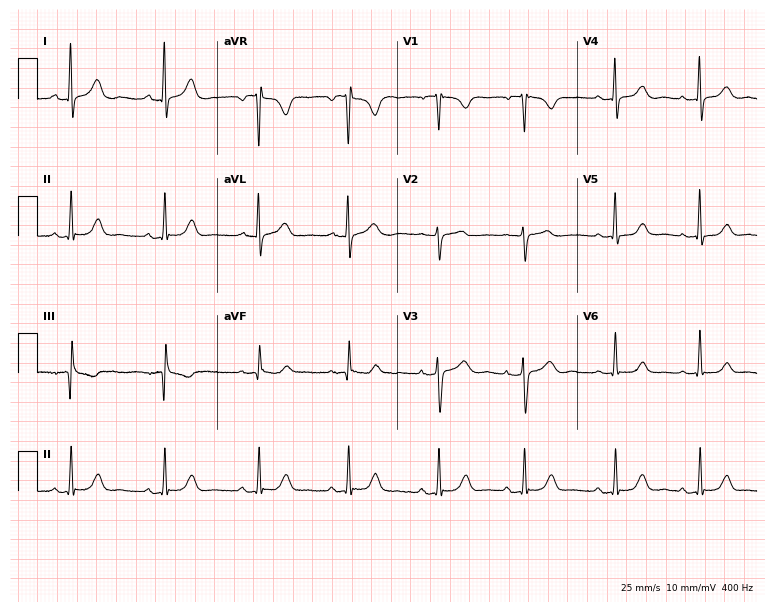
12-lead ECG (7.3-second recording at 400 Hz) from a 71-year-old female patient. Screened for six findings — first-degree AV block, right bundle branch block, left bundle branch block, sinus bradycardia, atrial fibrillation, sinus tachycardia — none is recorded. Other findings, if any, are not listed.